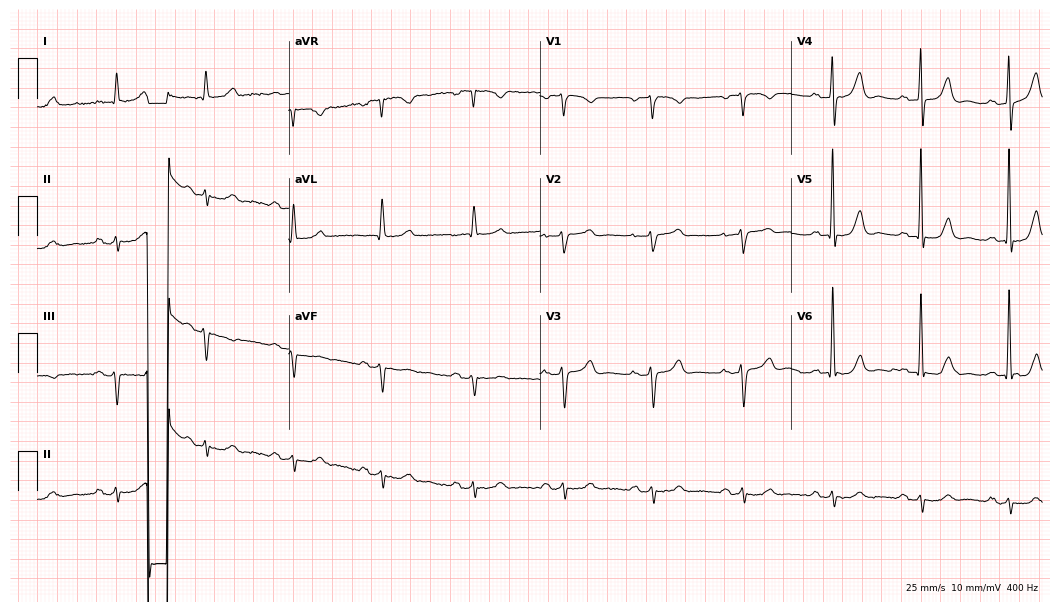
Standard 12-lead ECG recorded from a male patient, 80 years old. None of these six findings is recorded: first-degree AV block, right bundle branch block (RBBB), left bundle branch block (LBBB), sinus bradycardia, atrial fibrillation (AF), sinus tachycardia. Findings outside these six are not listed.